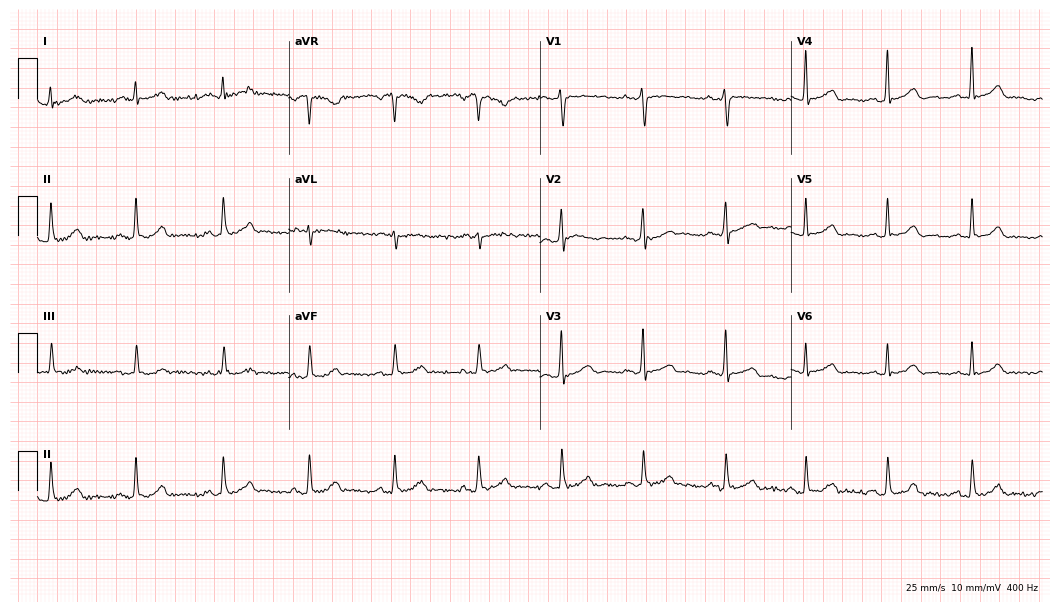
Standard 12-lead ECG recorded from a male, 45 years old (10.2-second recording at 400 Hz). Read as a normal ECG.